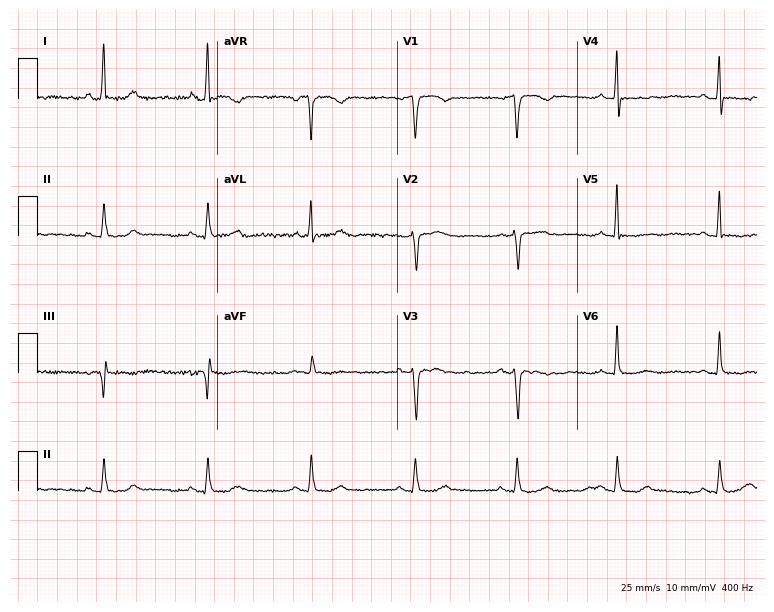
ECG (7.3-second recording at 400 Hz) — a 61-year-old female. Screened for six findings — first-degree AV block, right bundle branch block, left bundle branch block, sinus bradycardia, atrial fibrillation, sinus tachycardia — none is recorded. Only these six findings were labelled.